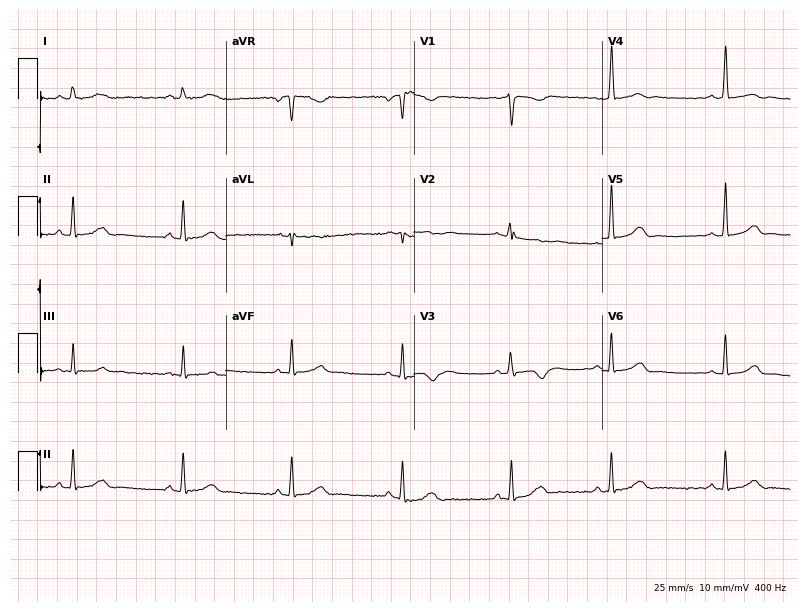
12-lead ECG (7.7-second recording at 400 Hz) from an 18-year-old woman. Screened for six findings — first-degree AV block, right bundle branch block, left bundle branch block, sinus bradycardia, atrial fibrillation, sinus tachycardia — none is recorded.